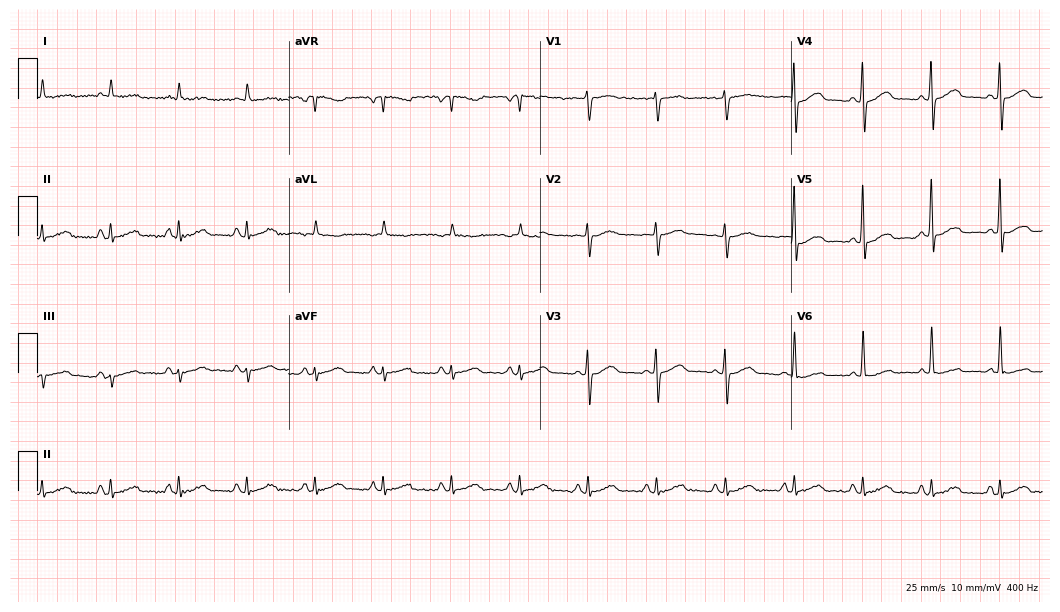
12-lead ECG from a man, 85 years old. No first-degree AV block, right bundle branch block, left bundle branch block, sinus bradycardia, atrial fibrillation or sinus tachycardia recorded for this tracing.